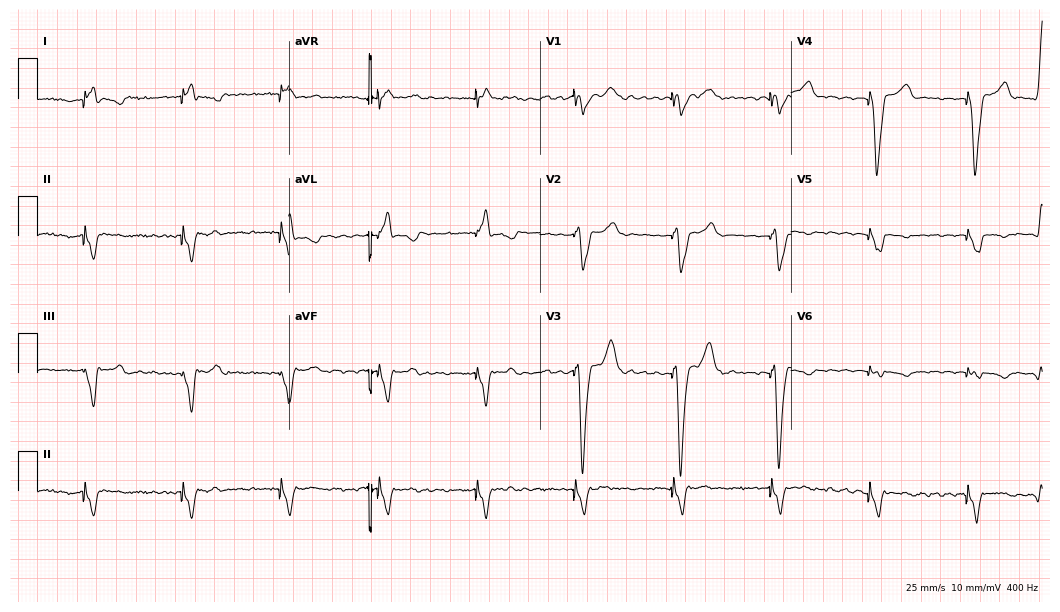
Standard 12-lead ECG recorded from an 81-year-old male. None of these six findings is recorded: first-degree AV block, right bundle branch block (RBBB), left bundle branch block (LBBB), sinus bradycardia, atrial fibrillation (AF), sinus tachycardia. Findings outside these six are not listed.